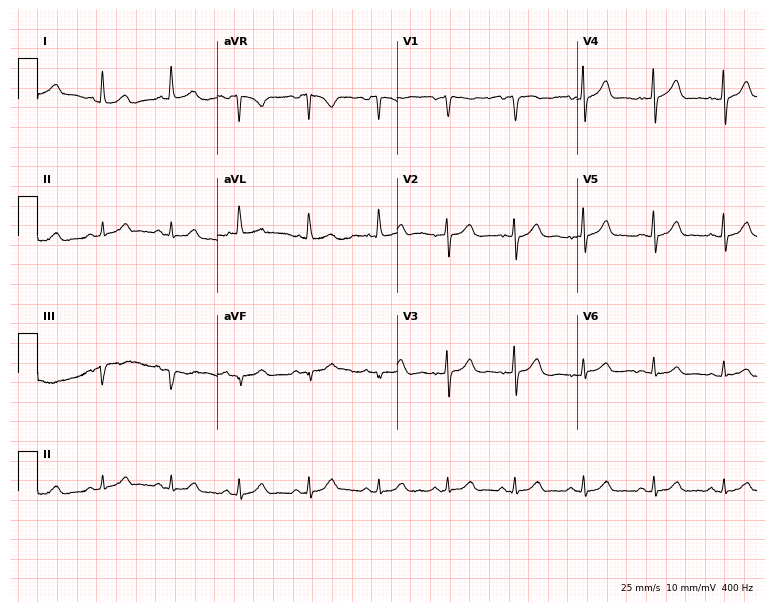
Standard 12-lead ECG recorded from a 75-year-old female patient (7.3-second recording at 400 Hz). None of these six findings is recorded: first-degree AV block, right bundle branch block, left bundle branch block, sinus bradycardia, atrial fibrillation, sinus tachycardia.